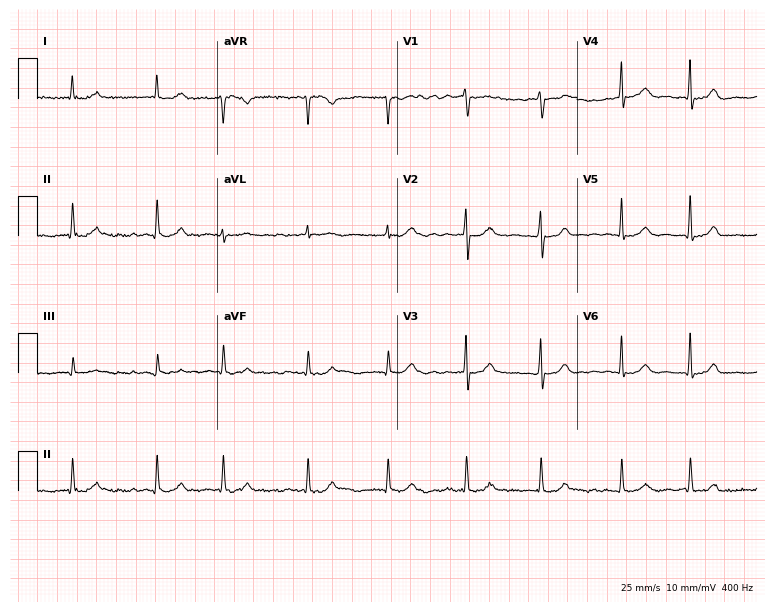
12-lead ECG from a female patient, 85 years old (7.3-second recording at 400 Hz). No first-degree AV block, right bundle branch block, left bundle branch block, sinus bradycardia, atrial fibrillation or sinus tachycardia recorded for this tracing.